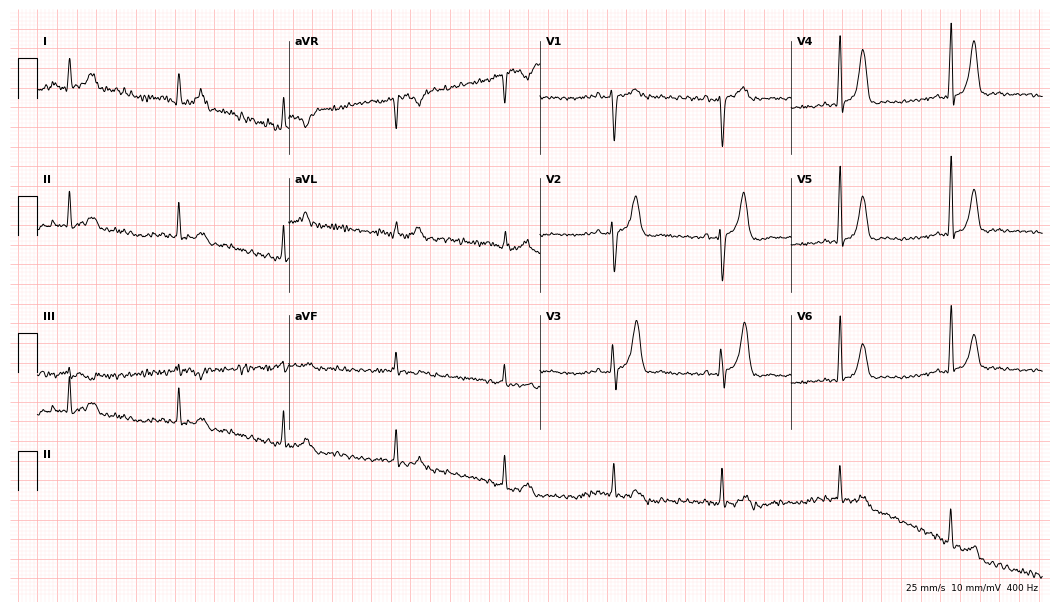
12-lead ECG from a 31-year-old female. No first-degree AV block, right bundle branch block, left bundle branch block, sinus bradycardia, atrial fibrillation or sinus tachycardia recorded for this tracing. Findings outside these six are not listed.